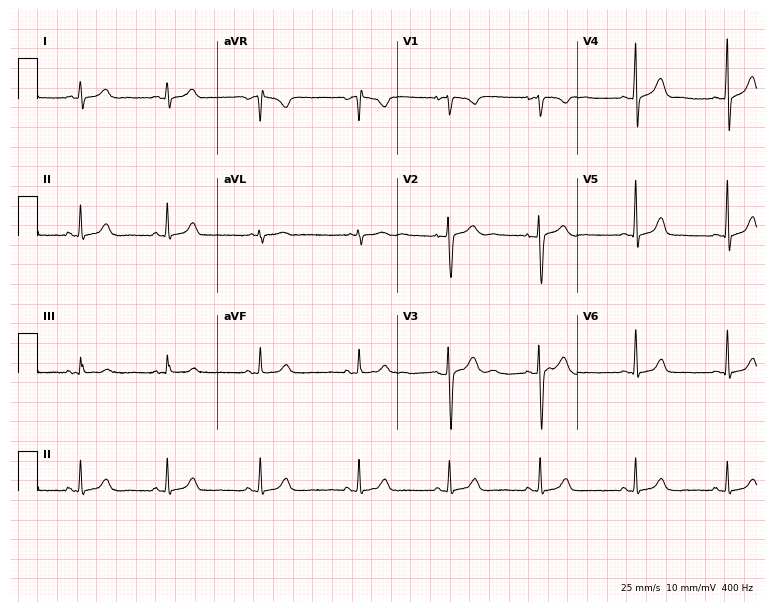
12-lead ECG from a female, 30 years old. Screened for six findings — first-degree AV block, right bundle branch block, left bundle branch block, sinus bradycardia, atrial fibrillation, sinus tachycardia — none is recorded.